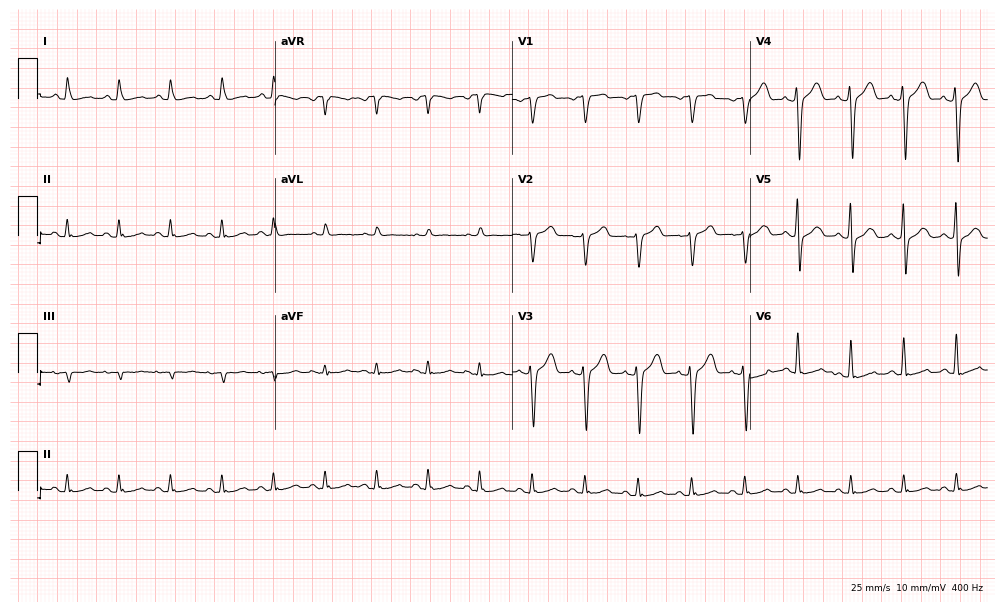
Electrocardiogram (9.7-second recording at 400 Hz), a 56-year-old male patient. Interpretation includes sinus tachycardia (a sinus rate of 100 beats per minute or more).